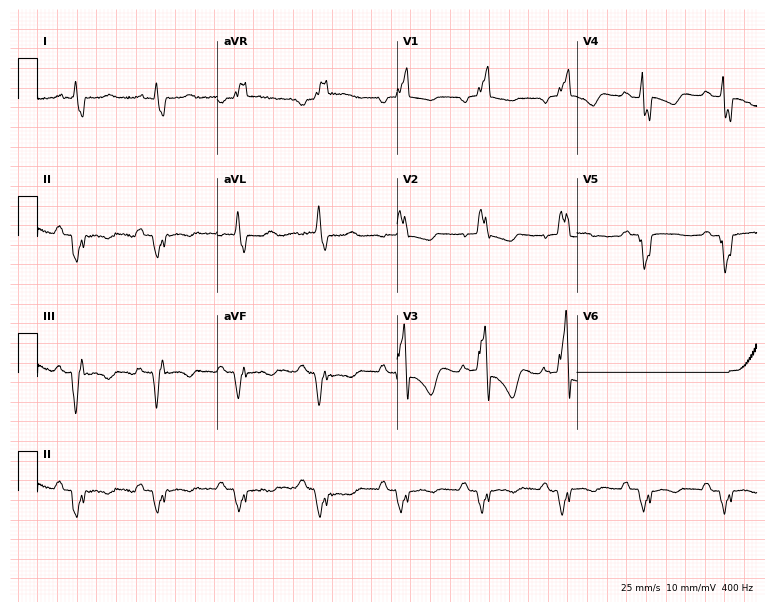
Resting 12-lead electrocardiogram (7.3-second recording at 400 Hz). Patient: a male, 84 years old. The tracing shows right bundle branch block.